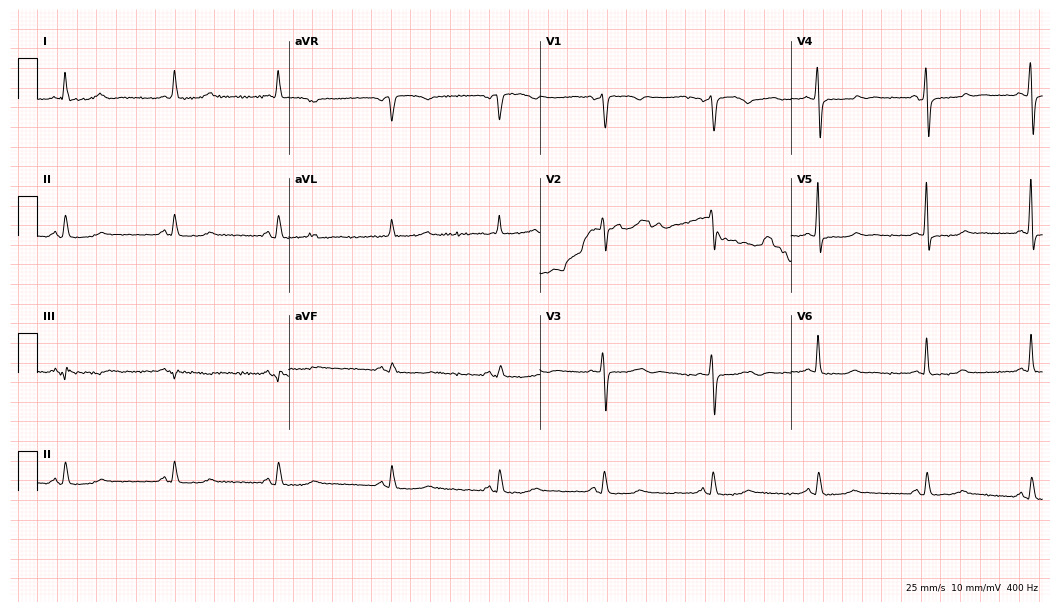
ECG (10.2-second recording at 400 Hz) — a 65-year-old female patient. Screened for six findings — first-degree AV block, right bundle branch block, left bundle branch block, sinus bradycardia, atrial fibrillation, sinus tachycardia — none is recorded. Only these six findings were labelled.